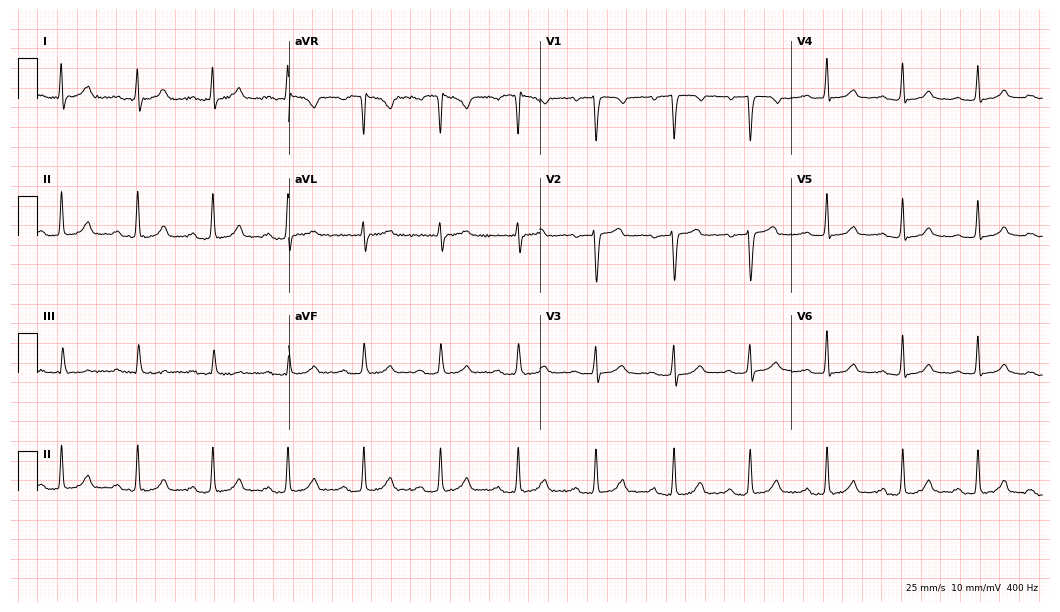
Resting 12-lead electrocardiogram. Patient: a 40-year-old female. Read as a normal ECG.